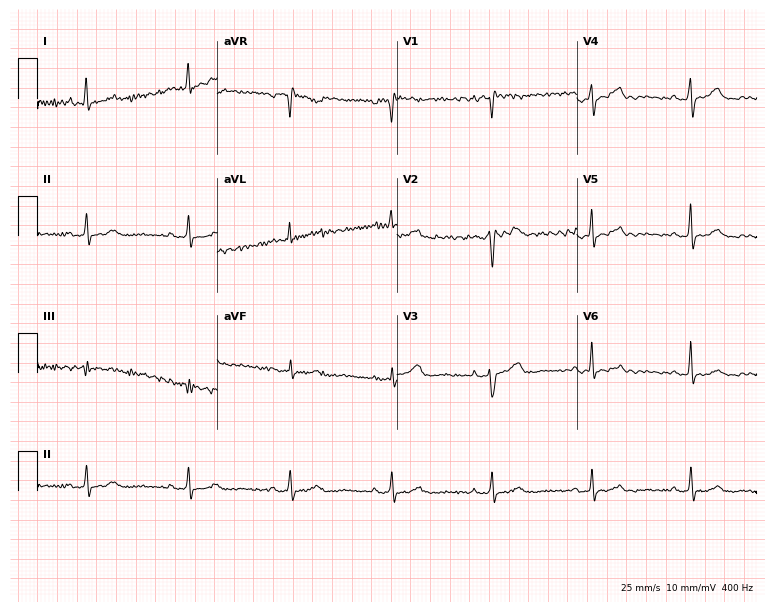
Resting 12-lead electrocardiogram (7.3-second recording at 400 Hz). Patient: a female, 83 years old. None of these six findings is recorded: first-degree AV block, right bundle branch block (RBBB), left bundle branch block (LBBB), sinus bradycardia, atrial fibrillation (AF), sinus tachycardia. Other findings, if any, are not listed.